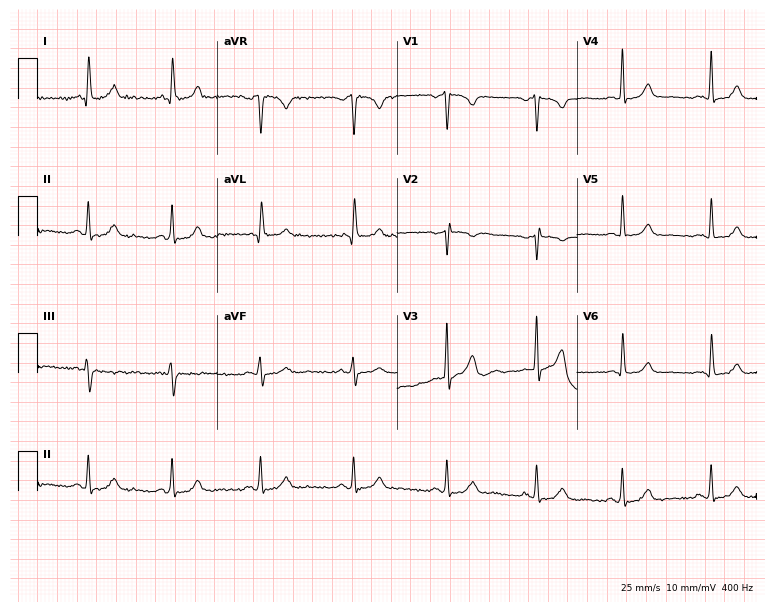
Electrocardiogram, a woman, 38 years old. Of the six screened findings (first-degree AV block, right bundle branch block (RBBB), left bundle branch block (LBBB), sinus bradycardia, atrial fibrillation (AF), sinus tachycardia), none is recorded. Other findings, if any, are not listed.